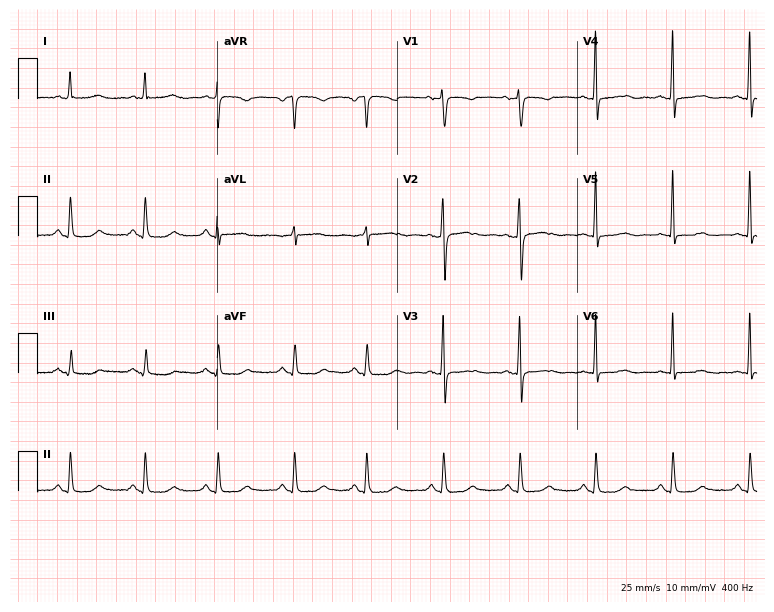
Standard 12-lead ECG recorded from a female, 60 years old (7.3-second recording at 400 Hz). None of these six findings is recorded: first-degree AV block, right bundle branch block, left bundle branch block, sinus bradycardia, atrial fibrillation, sinus tachycardia.